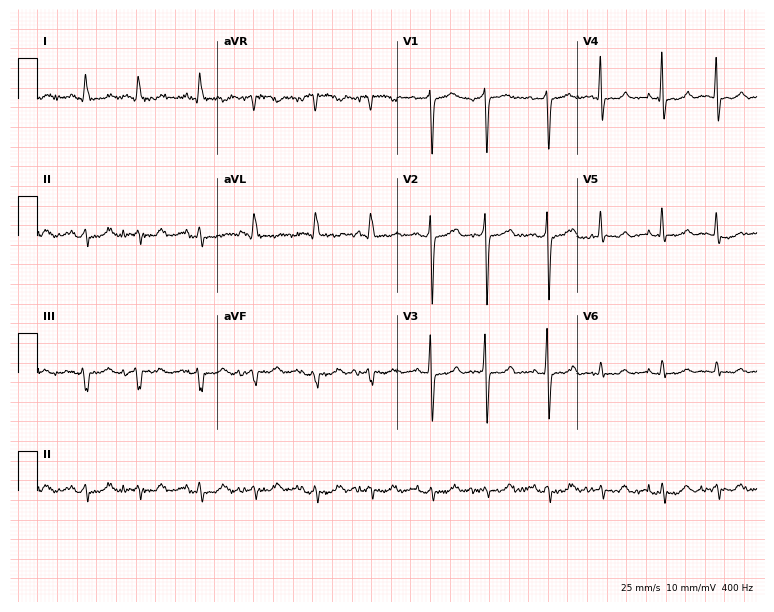
12-lead ECG from a female, 77 years old. Screened for six findings — first-degree AV block, right bundle branch block, left bundle branch block, sinus bradycardia, atrial fibrillation, sinus tachycardia — none is recorded.